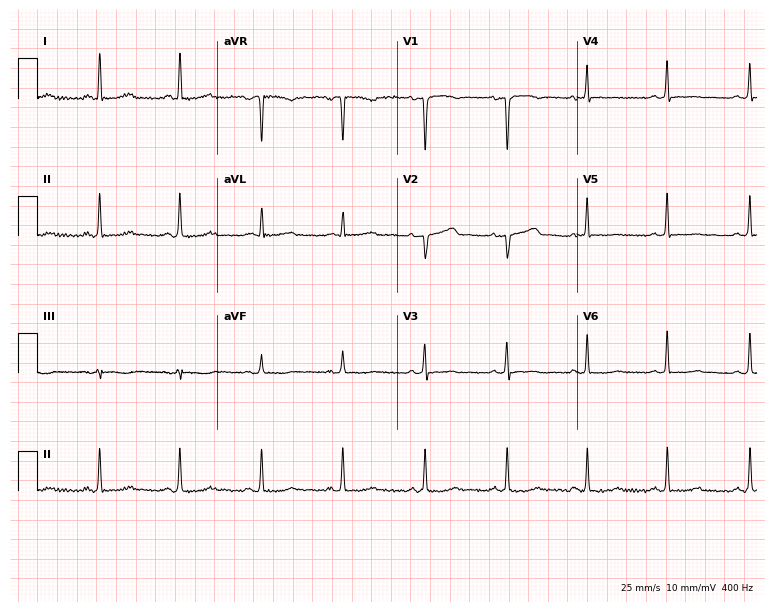
ECG — a 50-year-old female. Screened for six findings — first-degree AV block, right bundle branch block, left bundle branch block, sinus bradycardia, atrial fibrillation, sinus tachycardia — none is recorded. Findings outside these six are not listed.